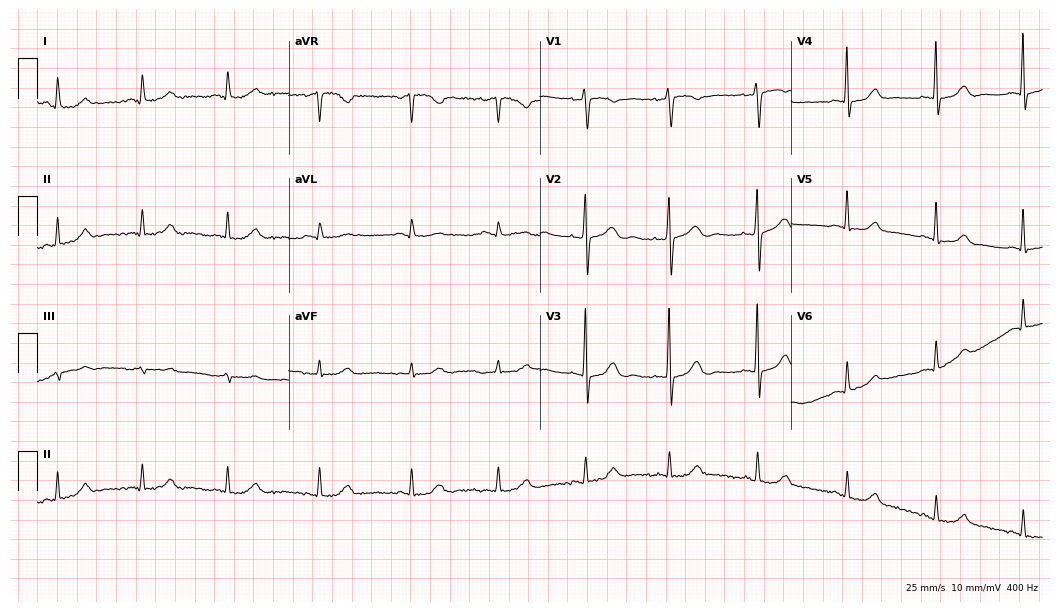
Resting 12-lead electrocardiogram. Patient: a woman, 66 years old. None of these six findings is recorded: first-degree AV block, right bundle branch block, left bundle branch block, sinus bradycardia, atrial fibrillation, sinus tachycardia. Findings outside these six are not listed.